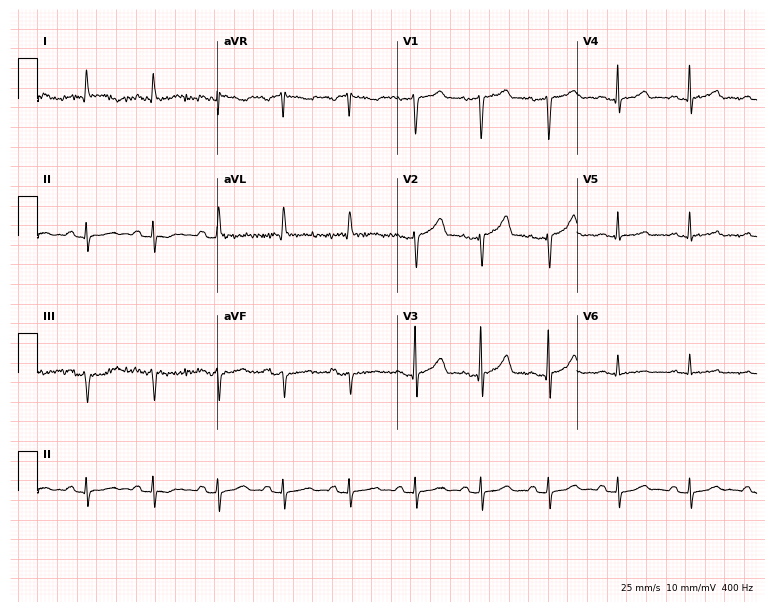
Electrocardiogram (7.3-second recording at 400 Hz), a male, 48 years old. Of the six screened findings (first-degree AV block, right bundle branch block (RBBB), left bundle branch block (LBBB), sinus bradycardia, atrial fibrillation (AF), sinus tachycardia), none is recorded. Other findings, if any, are not listed.